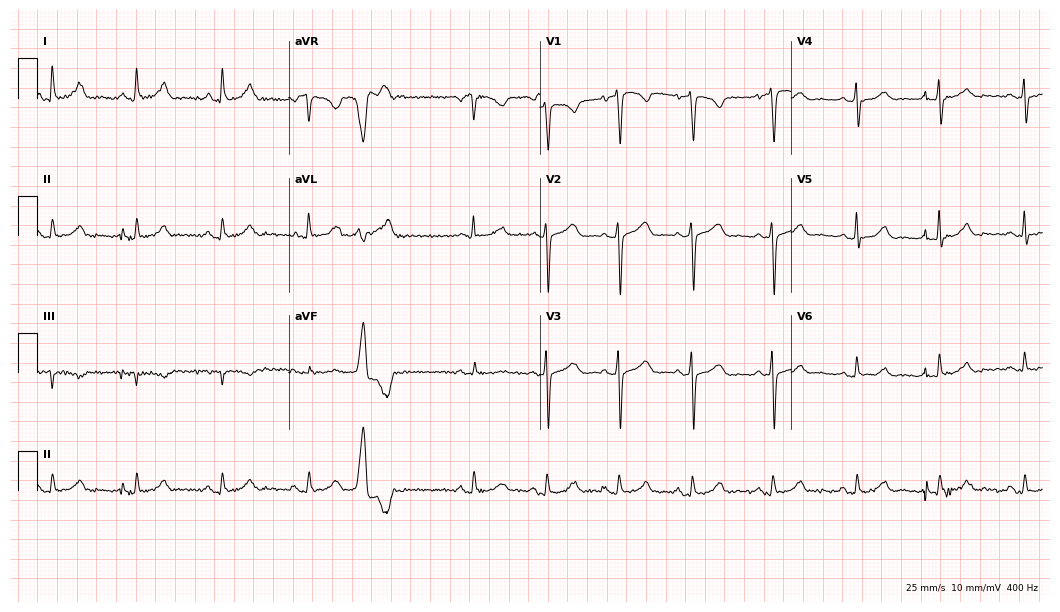
Standard 12-lead ECG recorded from a woman, 62 years old. None of these six findings is recorded: first-degree AV block, right bundle branch block, left bundle branch block, sinus bradycardia, atrial fibrillation, sinus tachycardia.